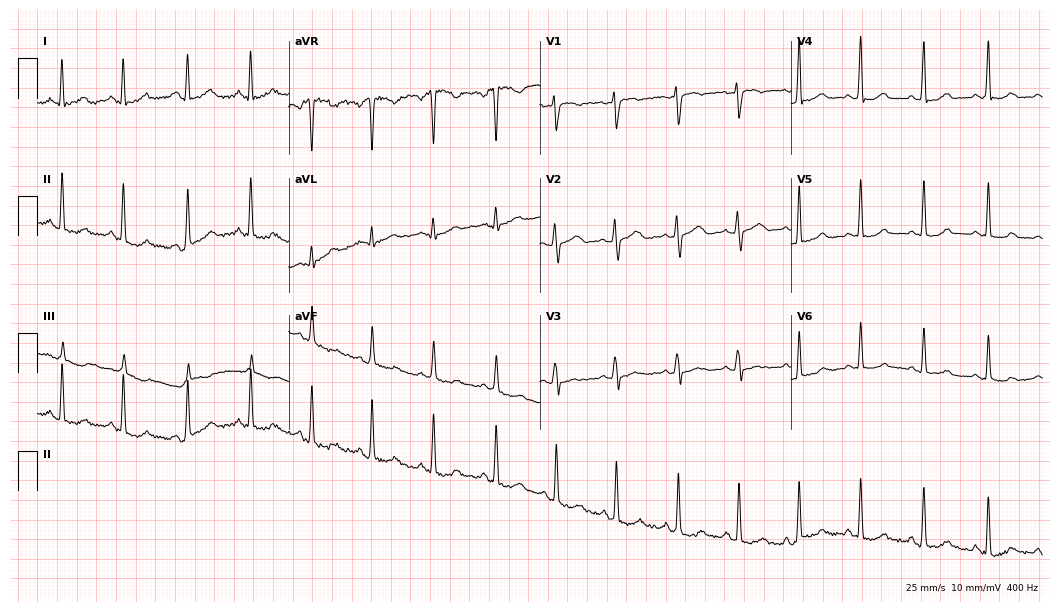
ECG (10.2-second recording at 400 Hz) — a female, 35 years old. Screened for six findings — first-degree AV block, right bundle branch block (RBBB), left bundle branch block (LBBB), sinus bradycardia, atrial fibrillation (AF), sinus tachycardia — none is recorded.